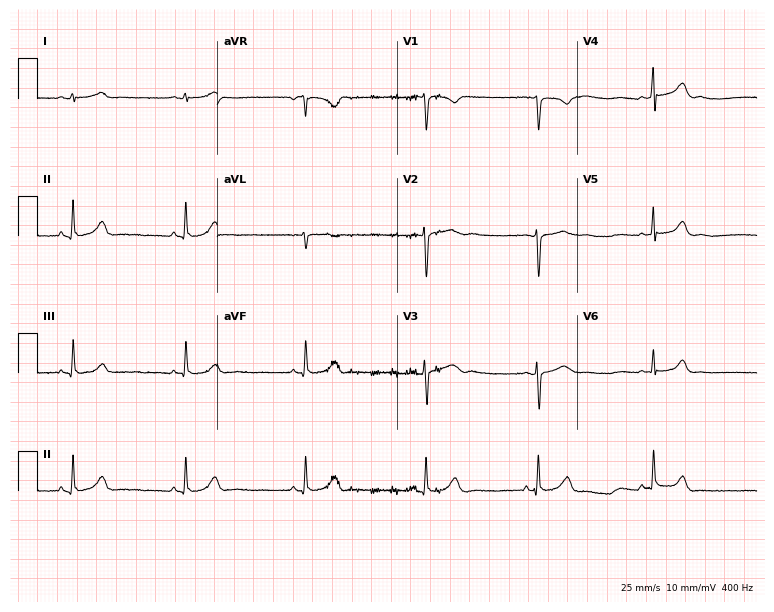
ECG — a female, 18 years old. Screened for six findings — first-degree AV block, right bundle branch block, left bundle branch block, sinus bradycardia, atrial fibrillation, sinus tachycardia — none is recorded.